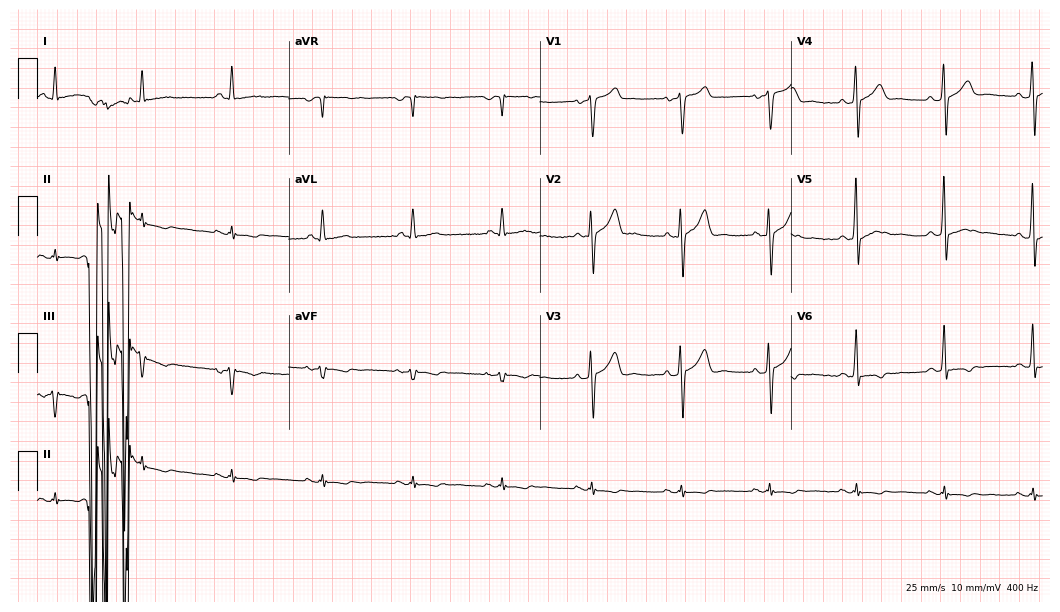
Electrocardiogram (10.2-second recording at 400 Hz), a man, 67 years old. Of the six screened findings (first-degree AV block, right bundle branch block, left bundle branch block, sinus bradycardia, atrial fibrillation, sinus tachycardia), none is recorded.